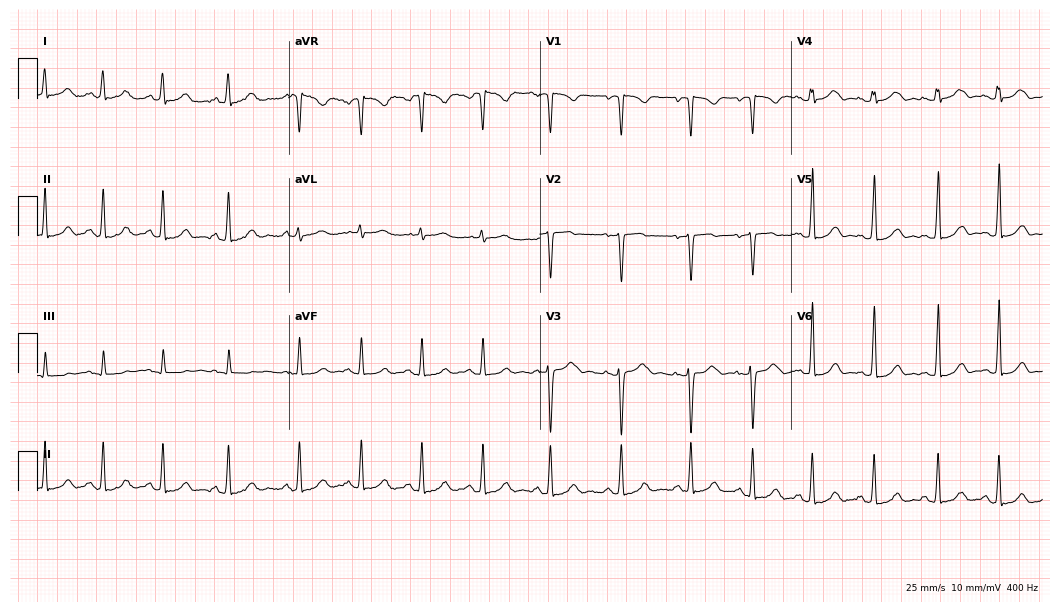
Resting 12-lead electrocardiogram (10.2-second recording at 400 Hz). Patient: a female, 29 years old. None of these six findings is recorded: first-degree AV block, right bundle branch block, left bundle branch block, sinus bradycardia, atrial fibrillation, sinus tachycardia.